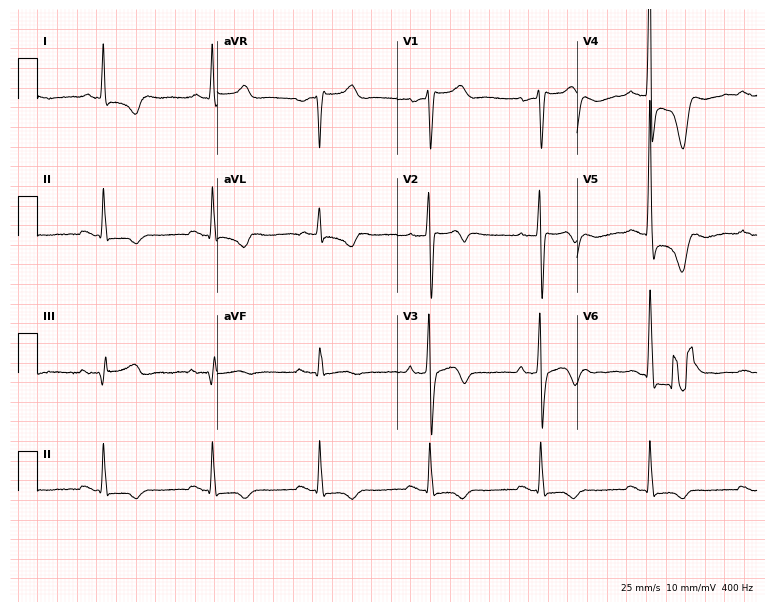
12-lead ECG from a male, 73 years old (7.3-second recording at 400 Hz). No first-degree AV block, right bundle branch block, left bundle branch block, sinus bradycardia, atrial fibrillation or sinus tachycardia recorded for this tracing.